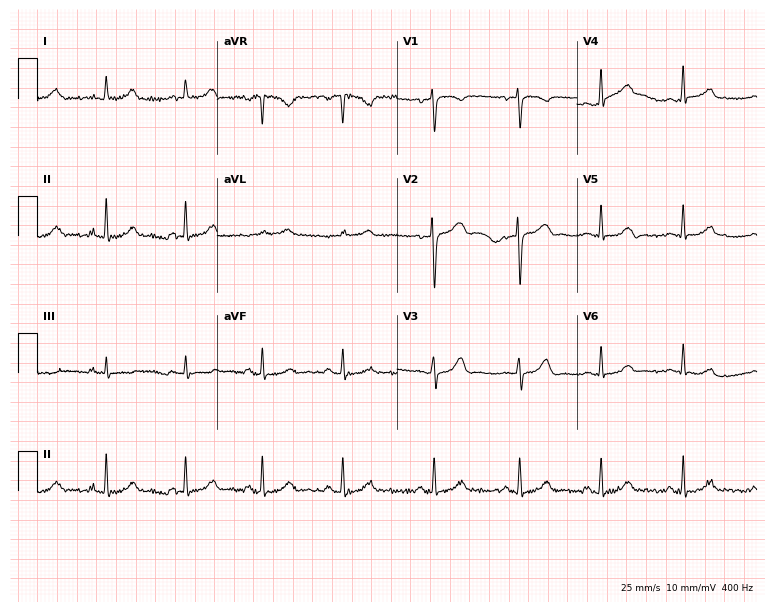
Resting 12-lead electrocardiogram (7.3-second recording at 400 Hz). Patient: a 35-year-old female. None of these six findings is recorded: first-degree AV block, right bundle branch block, left bundle branch block, sinus bradycardia, atrial fibrillation, sinus tachycardia.